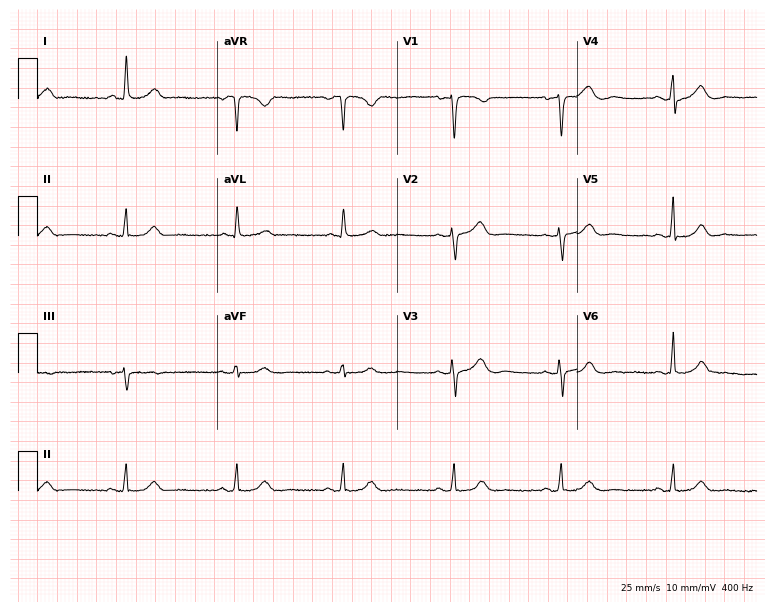
12-lead ECG from a 56-year-old woman (7.3-second recording at 400 Hz). Recorded interpretation: within normal limits.